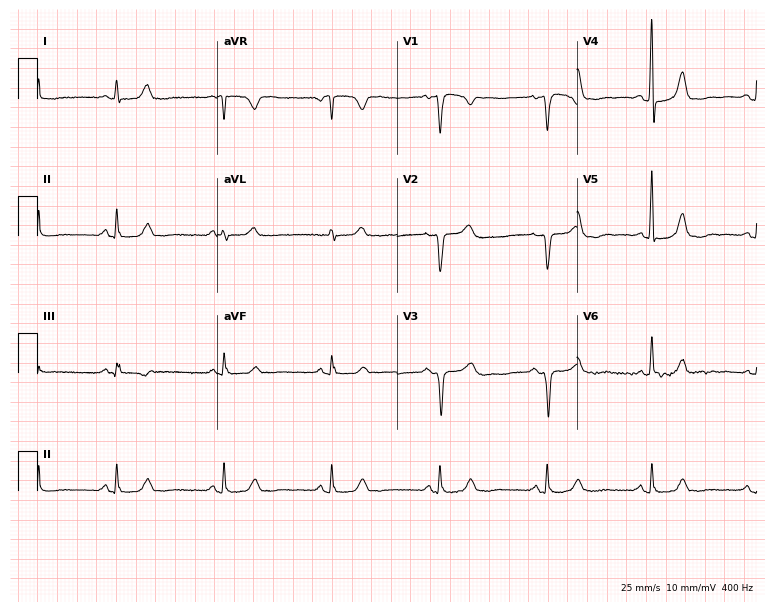
Standard 12-lead ECG recorded from a female patient, 60 years old (7.3-second recording at 400 Hz). None of these six findings is recorded: first-degree AV block, right bundle branch block, left bundle branch block, sinus bradycardia, atrial fibrillation, sinus tachycardia.